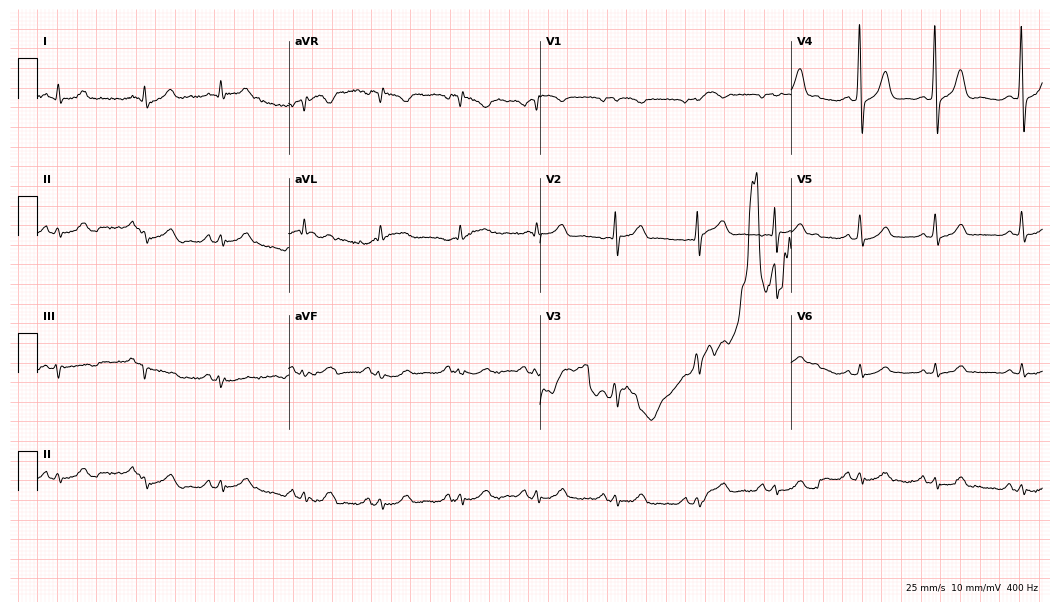
Resting 12-lead electrocardiogram. Patient: a 78-year-old man. None of these six findings is recorded: first-degree AV block, right bundle branch block, left bundle branch block, sinus bradycardia, atrial fibrillation, sinus tachycardia.